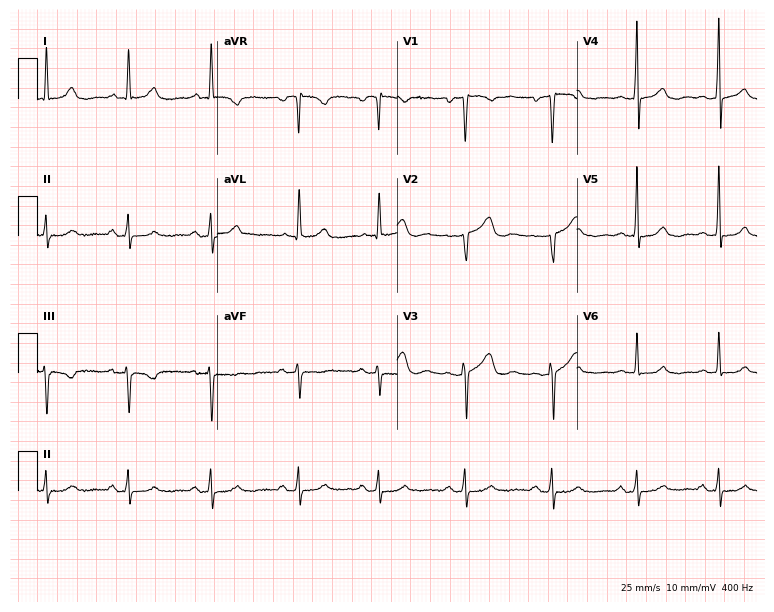
ECG (7.3-second recording at 400 Hz) — a woman, 50 years old. Screened for six findings — first-degree AV block, right bundle branch block, left bundle branch block, sinus bradycardia, atrial fibrillation, sinus tachycardia — none is recorded.